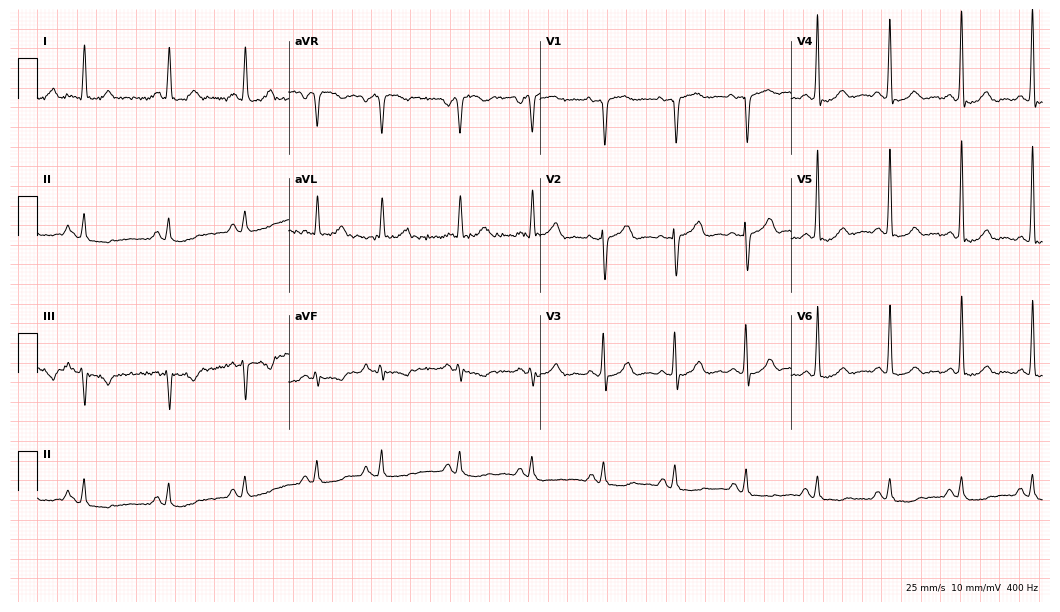
Electrocardiogram, an 80-year-old male patient. Of the six screened findings (first-degree AV block, right bundle branch block, left bundle branch block, sinus bradycardia, atrial fibrillation, sinus tachycardia), none is recorded. Findings outside these six are not listed.